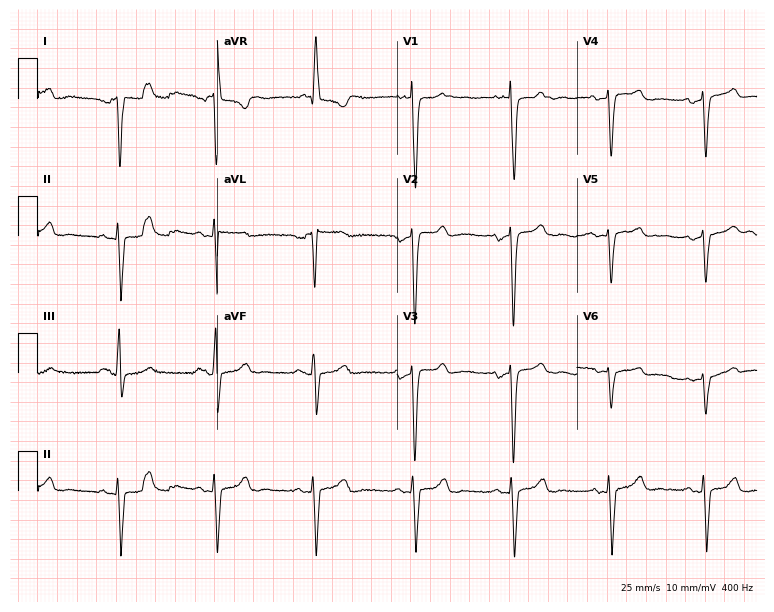
12-lead ECG from a man, 69 years old. Screened for six findings — first-degree AV block, right bundle branch block, left bundle branch block, sinus bradycardia, atrial fibrillation, sinus tachycardia — none is recorded. Findings outside these six are not listed.